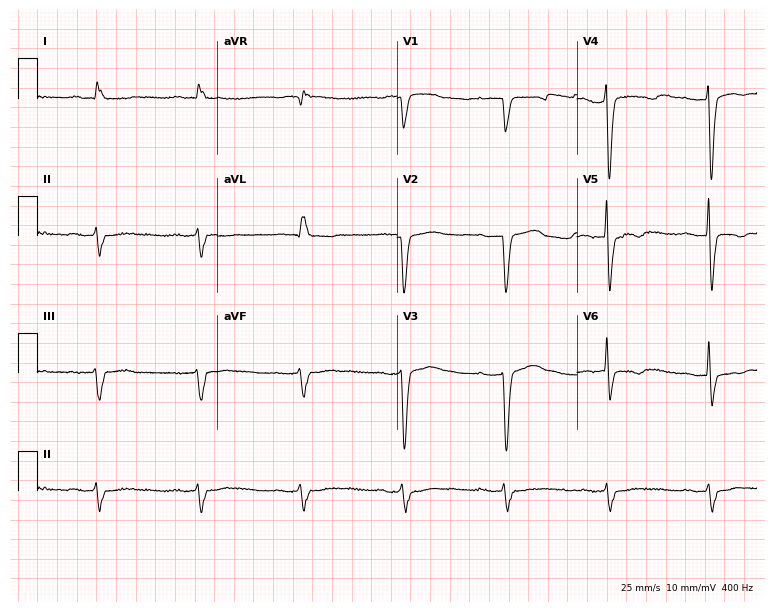
Resting 12-lead electrocardiogram (7.3-second recording at 400 Hz). Patient: a male, 79 years old. None of these six findings is recorded: first-degree AV block, right bundle branch block (RBBB), left bundle branch block (LBBB), sinus bradycardia, atrial fibrillation (AF), sinus tachycardia. Findings outside these six are not listed.